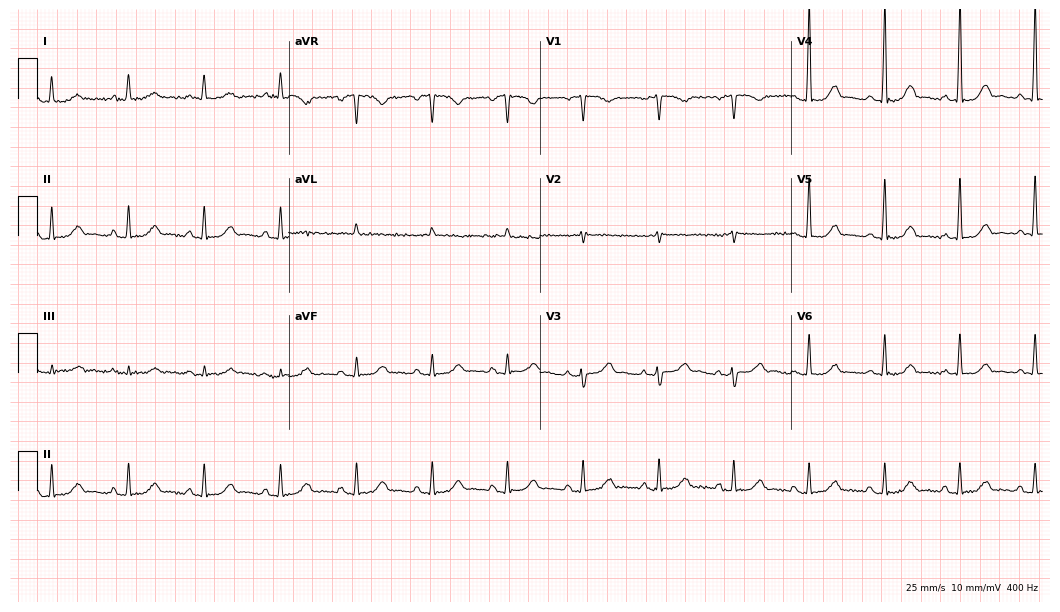
Standard 12-lead ECG recorded from a woman, 72 years old (10.2-second recording at 400 Hz). Read as a normal ECG.